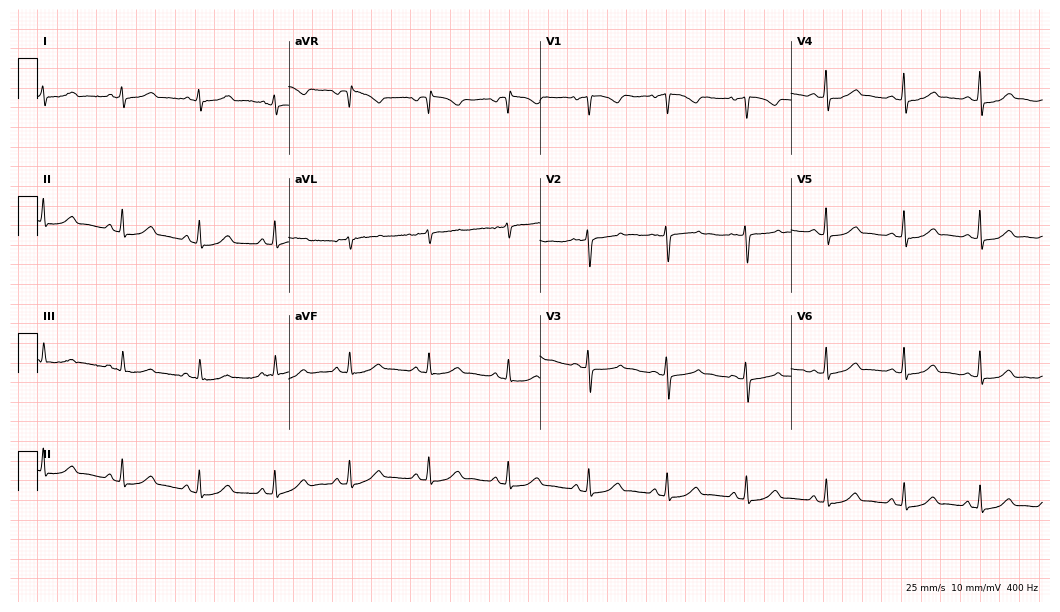
ECG (10.2-second recording at 400 Hz) — a 31-year-old woman. Labelled as a normal ECG.